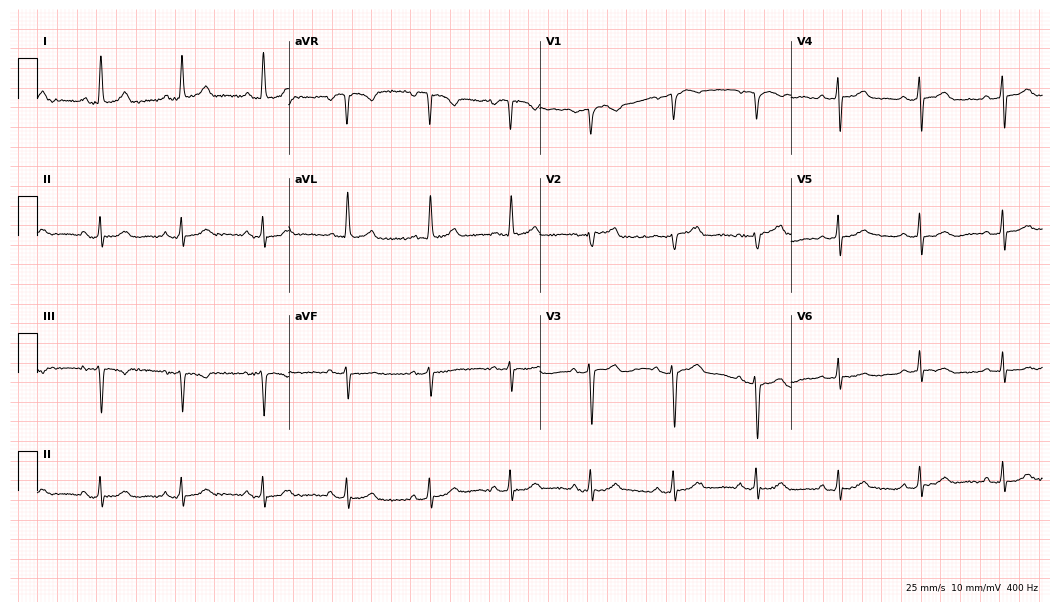
Standard 12-lead ECG recorded from a woman, 68 years old. Read as a normal ECG.